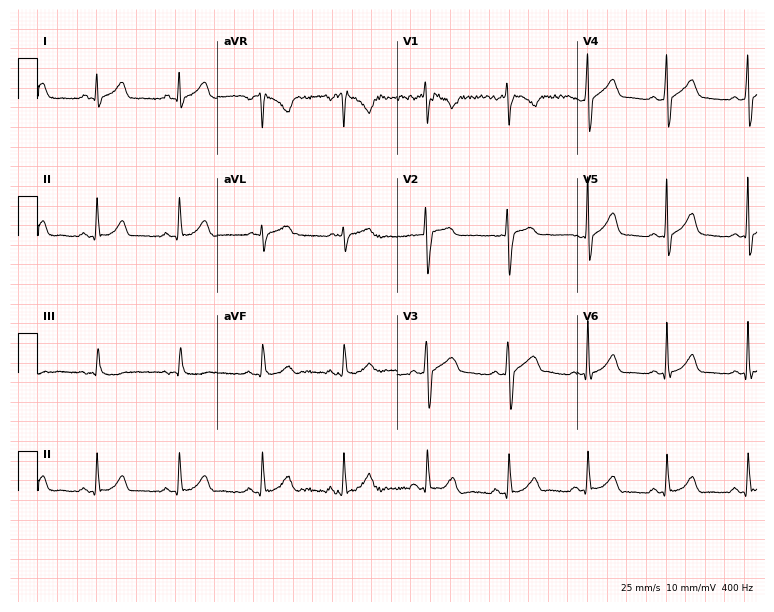
ECG — a male, 30 years old. Labelled as a normal ECG.